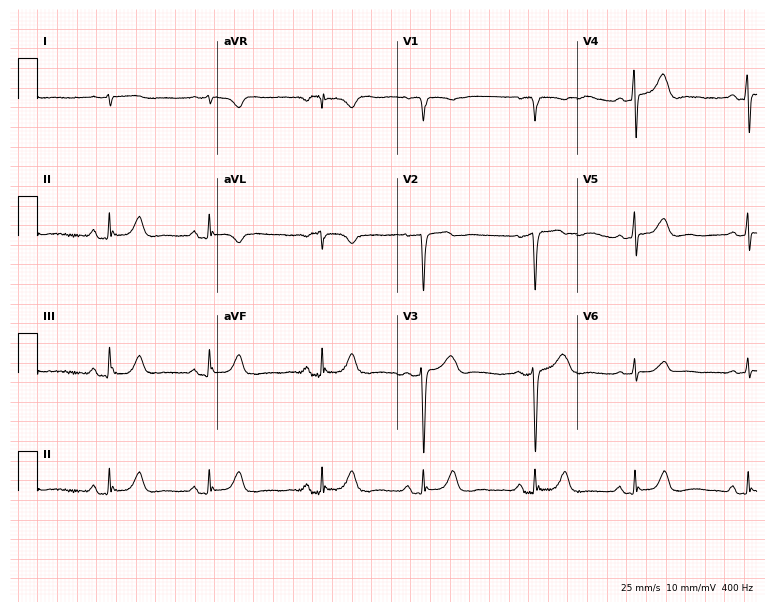
Electrocardiogram (7.3-second recording at 400 Hz), a 76-year-old male patient. Of the six screened findings (first-degree AV block, right bundle branch block (RBBB), left bundle branch block (LBBB), sinus bradycardia, atrial fibrillation (AF), sinus tachycardia), none is recorded. Findings outside these six are not listed.